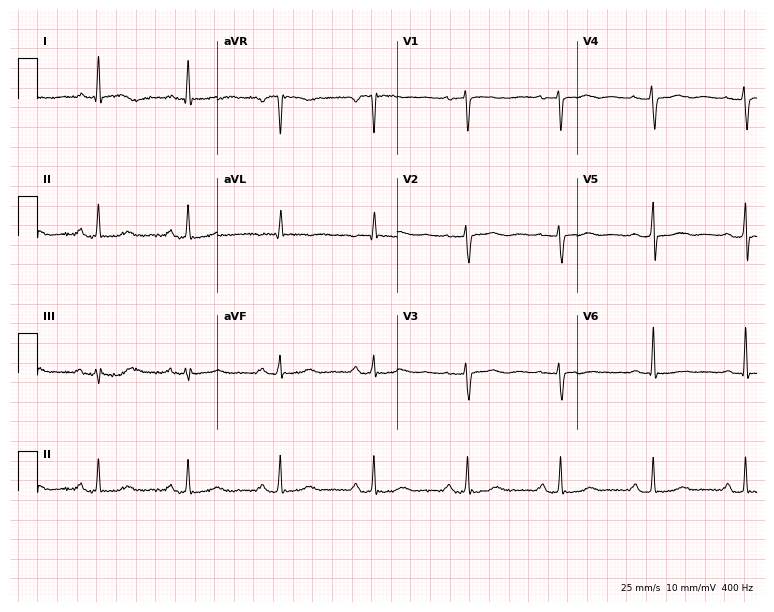
Standard 12-lead ECG recorded from a 59-year-old female (7.3-second recording at 400 Hz). The tracing shows first-degree AV block.